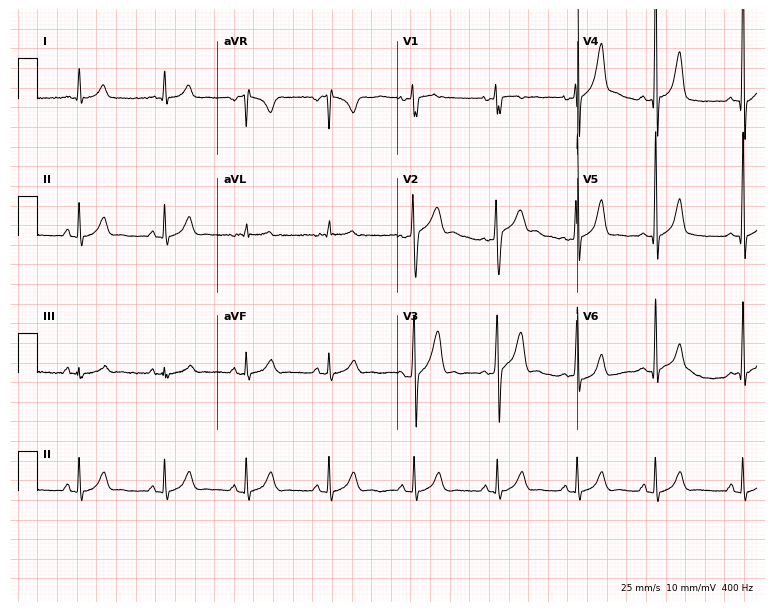
ECG (7.3-second recording at 400 Hz) — a man, 17 years old. Labelled as a normal ECG.